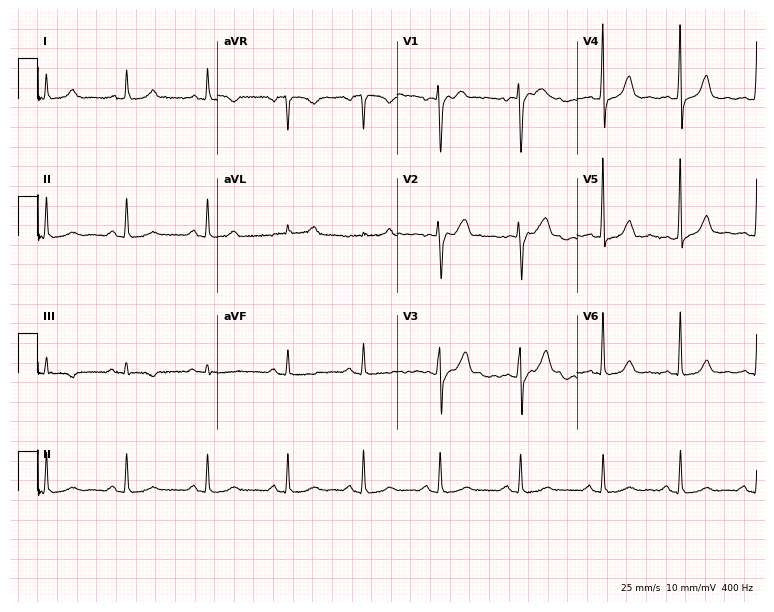
12-lead ECG from a 66-year-old woman (7.3-second recording at 400 Hz). Recorded interpretation: within normal limits.